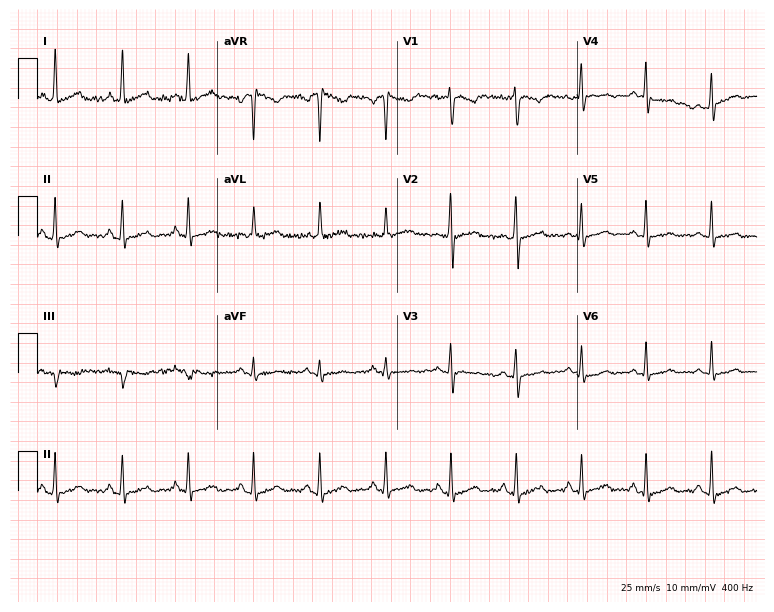
ECG — a 49-year-old female. Screened for six findings — first-degree AV block, right bundle branch block, left bundle branch block, sinus bradycardia, atrial fibrillation, sinus tachycardia — none is recorded.